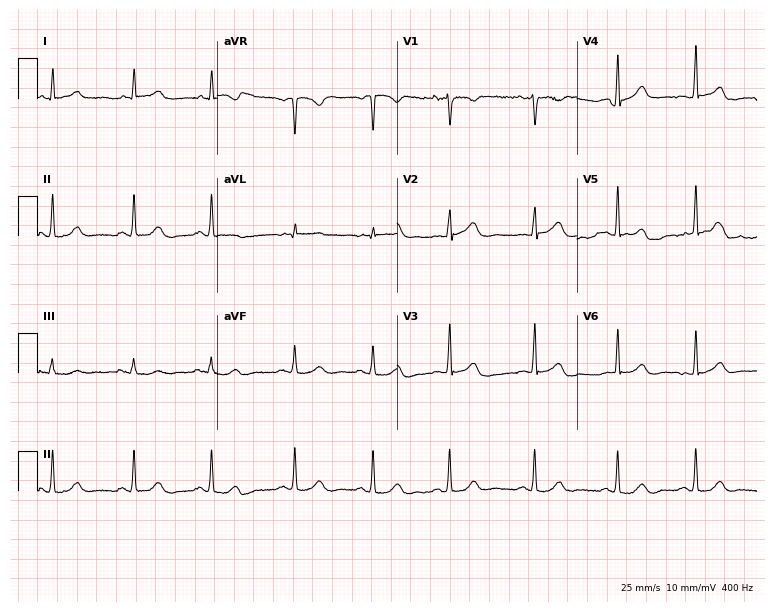
12-lead ECG (7.3-second recording at 400 Hz) from a 39-year-old woman. Labelled as a normal ECG.